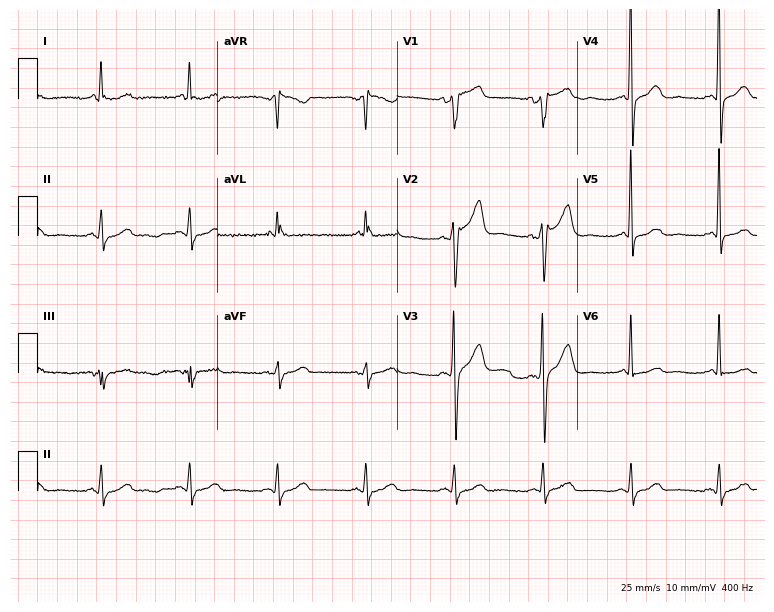
Electrocardiogram, a 52-year-old male. Of the six screened findings (first-degree AV block, right bundle branch block, left bundle branch block, sinus bradycardia, atrial fibrillation, sinus tachycardia), none is recorded.